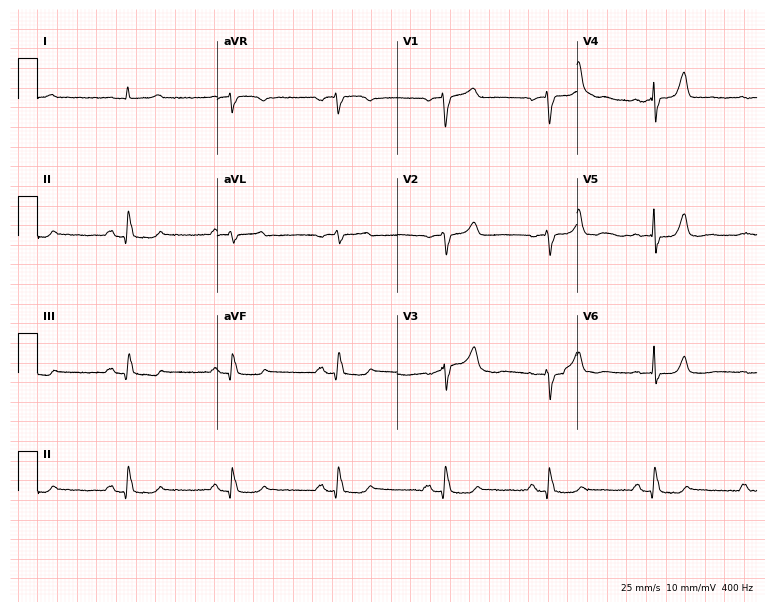
ECG — a male patient, 78 years old. Labelled as a normal ECG.